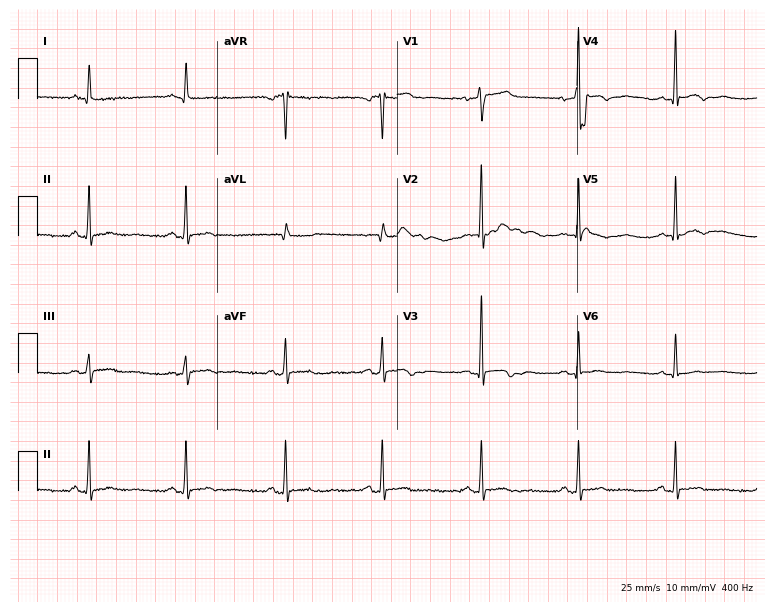
12-lead ECG from a female patient, 72 years old (7.3-second recording at 400 Hz). Recorded interpretation: within normal limits.